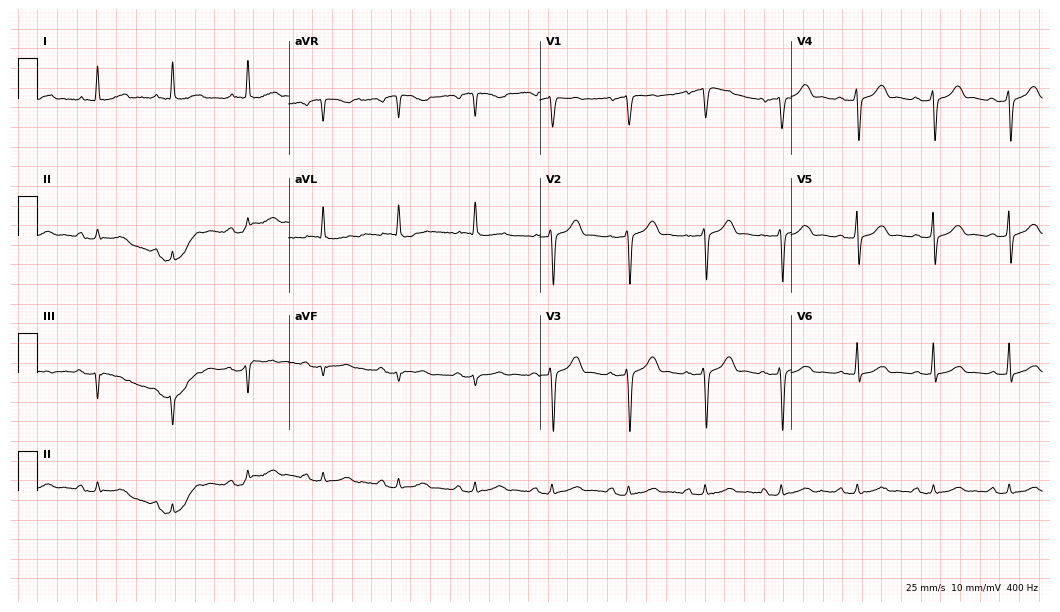
12-lead ECG from a 79-year-old man. No first-degree AV block, right bundle branch block (RBBB), left bundle branch block (LBBB), sinus bradycardia, atrial fibrillation (AF) or sinus tachycardia recorded for this tracing.